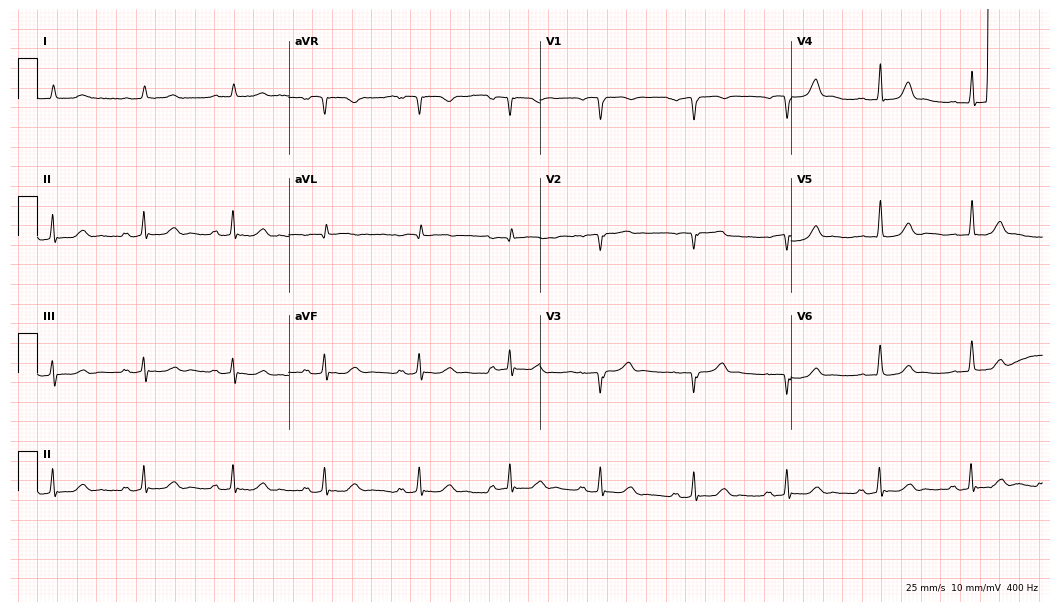
Standard 12-lead ECG recorded from a 72-year-old male patient (10.2-second recording at 400 Hz). None of these six findings is recorded: first-degree AV block, right bundle branch block, left bundle branch block, sinus bradycardia, atrial fibrillation, sinus tachycardia. Only these six findings were labelled.